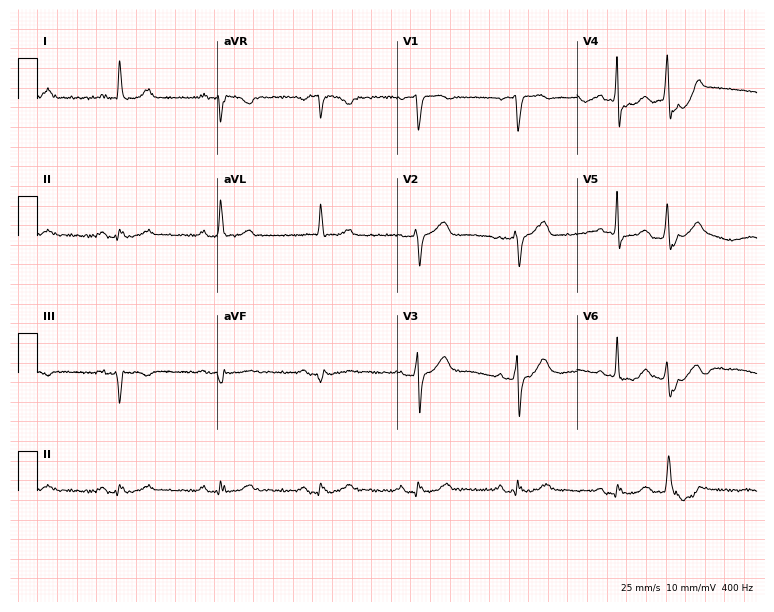
Standard 12-lead ECG recorded from a male patient, 75 years old (7.3-second recording at 400 Hz). None of these six findings is recorded: first-degree AV block, right bundle branch block (RBBB), left bundle branch block (LBBB), sinus bradycardia, atrial fibrillation (AF), sinus tachycardia. Only these six findings were labelled.